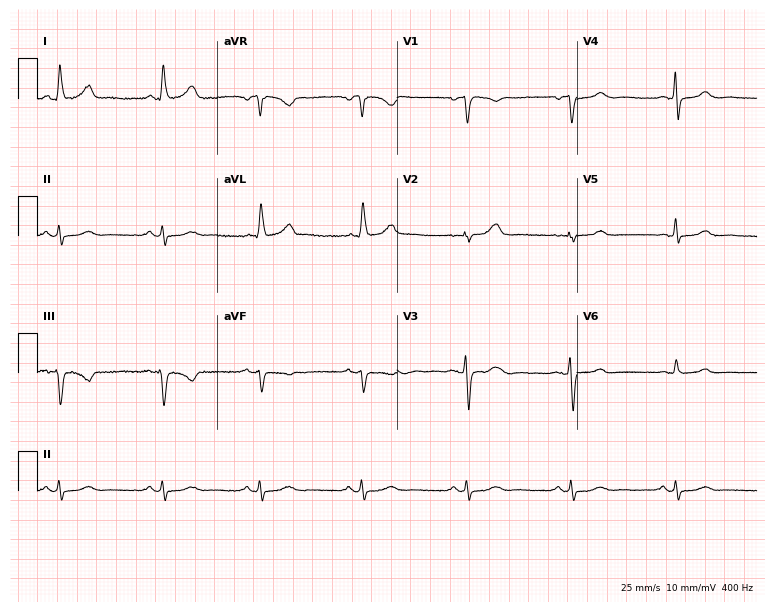
ECG (7.3-second recording at 400 Hz) — a 64-year-old female. Screened for six findings — first-degree AV block, right bundle branch block (RBBB), left bundle branch block (LBBB), sinus bradycardia, atrial fibrillation (AF), sinus tachycardia — none is recorded.